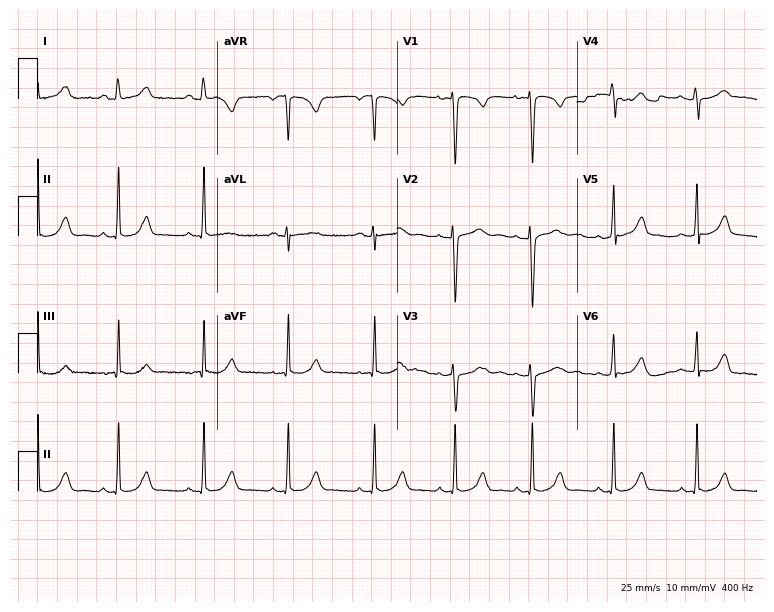
ECG — a woman, 22 years old. Labelled as a normal ECG.